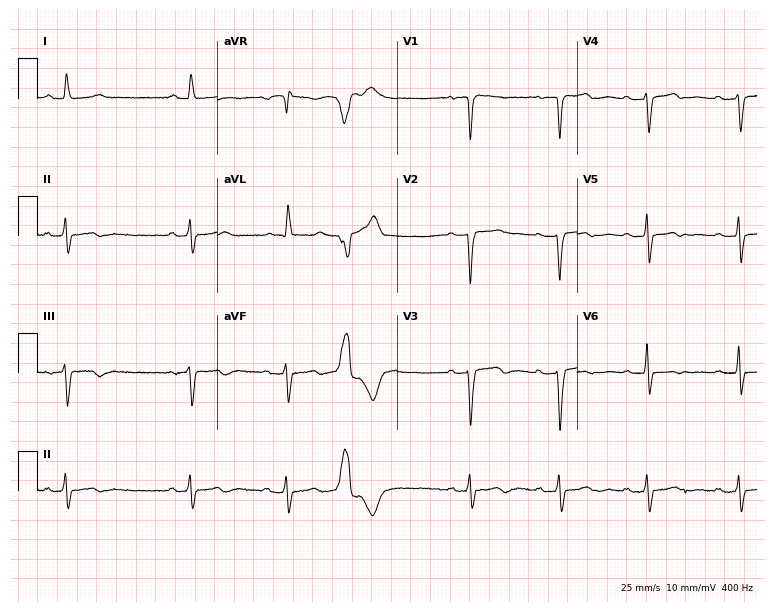
Resting 12-lead electrocardiogram (7.3-second recording at 400 Hz). Patient: a 41-year-old woman. None of these six findings is recorded: first-degree AV block, right bundle branch block, left bundle branch block, sinus bradycardia, atrial fibrillation, sinus tachycardia.